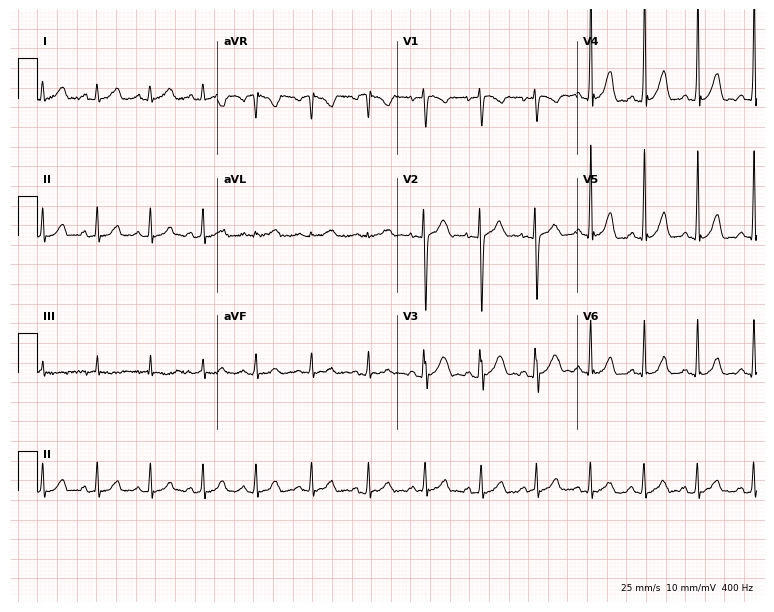
Resting 12-lead electrocardiogram. Patient: a 20-year-old female. The tracing shows sinus tachycardia (a sinus rate of 100 beats per minute or more).